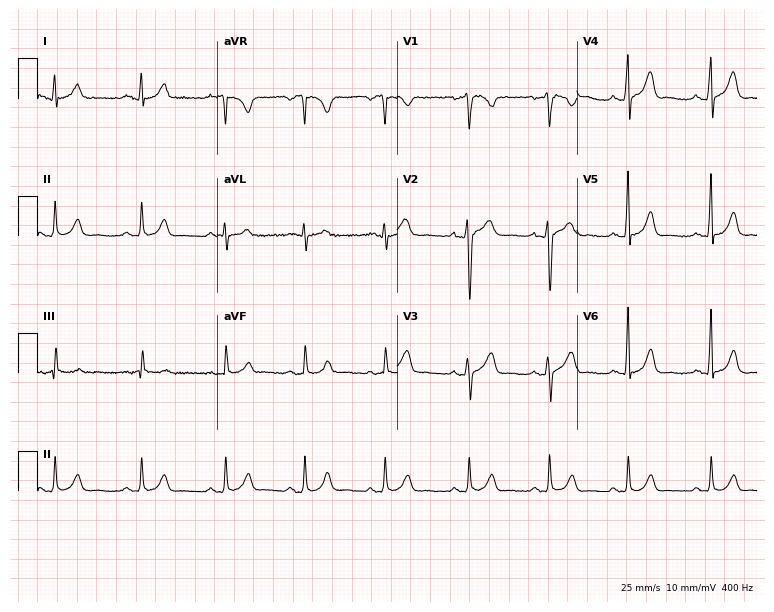
Electrocardiogram (7.3-second recording at 400 Hz), a 40-year-old male patient. Overall reading on record: normal ECG.